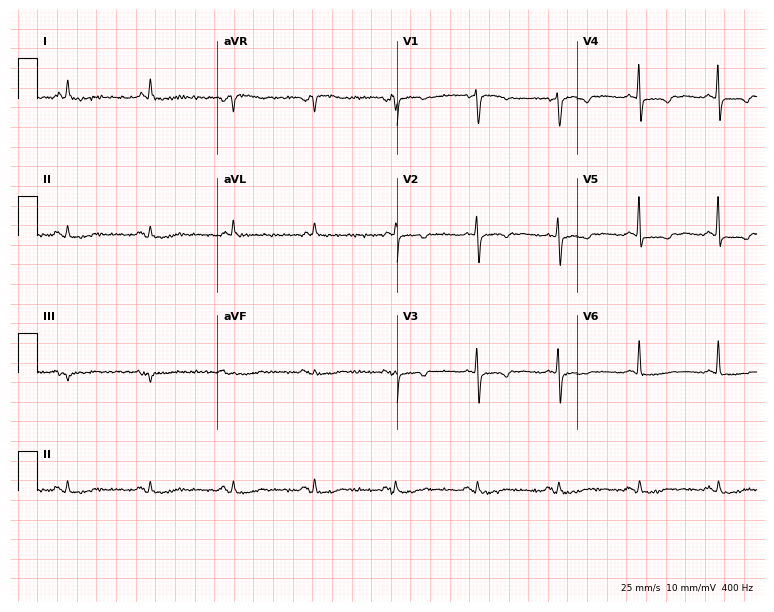
Standard 12-lead ECG recorded from a female, 62 years old. None of these six findings is recorded: first-degree AV block, right bundle branch block (RBBB), left bundle branch block (LBBB), sinus bradycardia, atrial fibrillation (AF), sinus tachycardia.